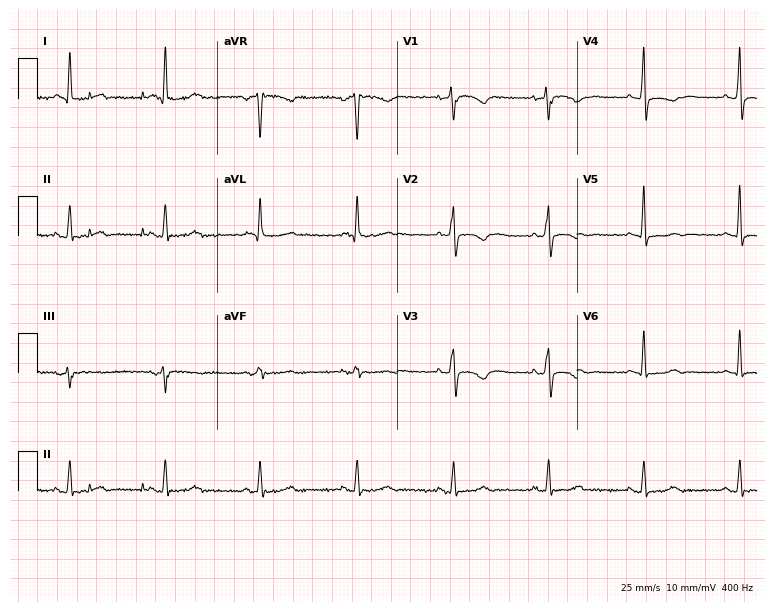
Electrocardiogram, a 72-year-old woman. Of the six screened findings (first-degree AV block, right bundle branch block (RBBB), left bundle branch block (LBBB), sinus bradycardia, atrial fibrillation (AF), sinus tachycardia), none is recorded. Only these six findings were labelled.